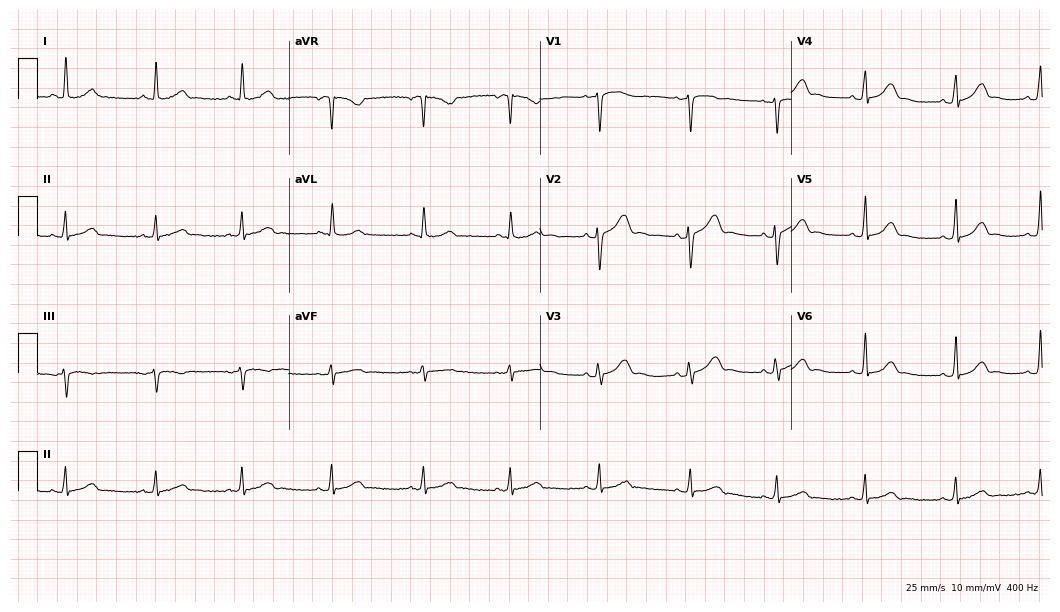
Resting 12-lead electrocardiogram (10.2-second recording at 400 Hz). Patient: a 30-year-old female. Read as a normal ECG.